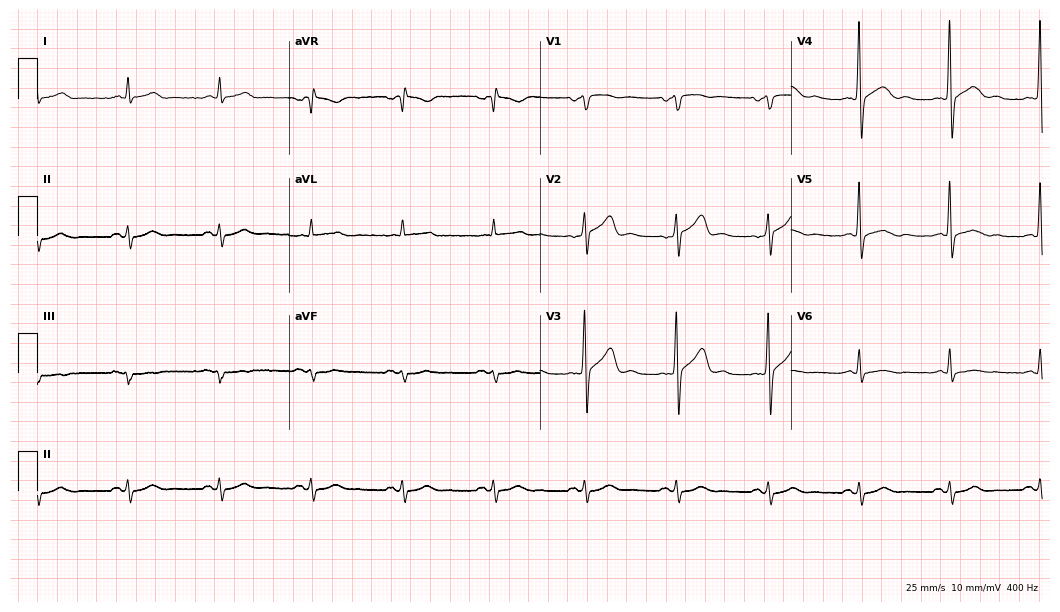
12-lead ECG from a man, 51 years old (10.2-second recording at 400 Hz). Recorded interpretation: within normal limits.